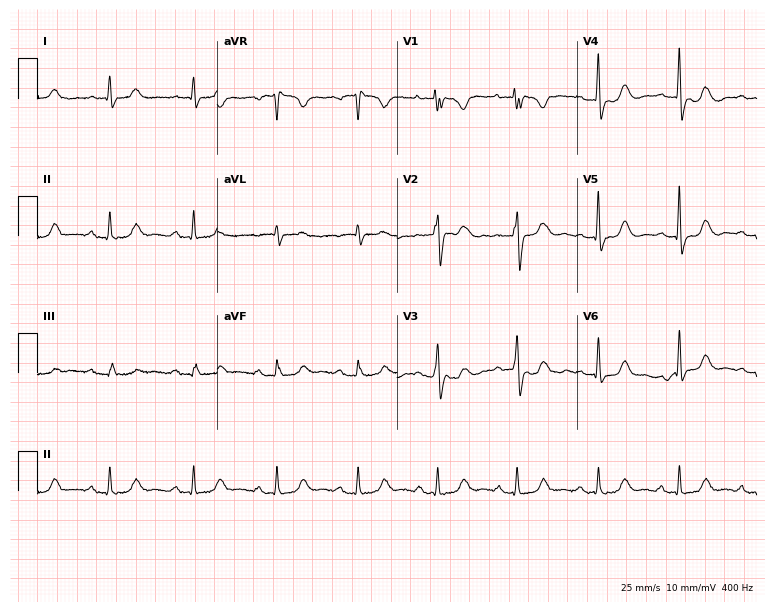
12-lead ECG from a female patient, 70 years old. Screened for six findings — first-degree AV block, right bundle branch block (RBBB), left bundle branch block (LBBB), sinus bradycardia, atrial fibrillation (AF), sinus tachycardia — none is recorded. Findings outside these six are not listed.